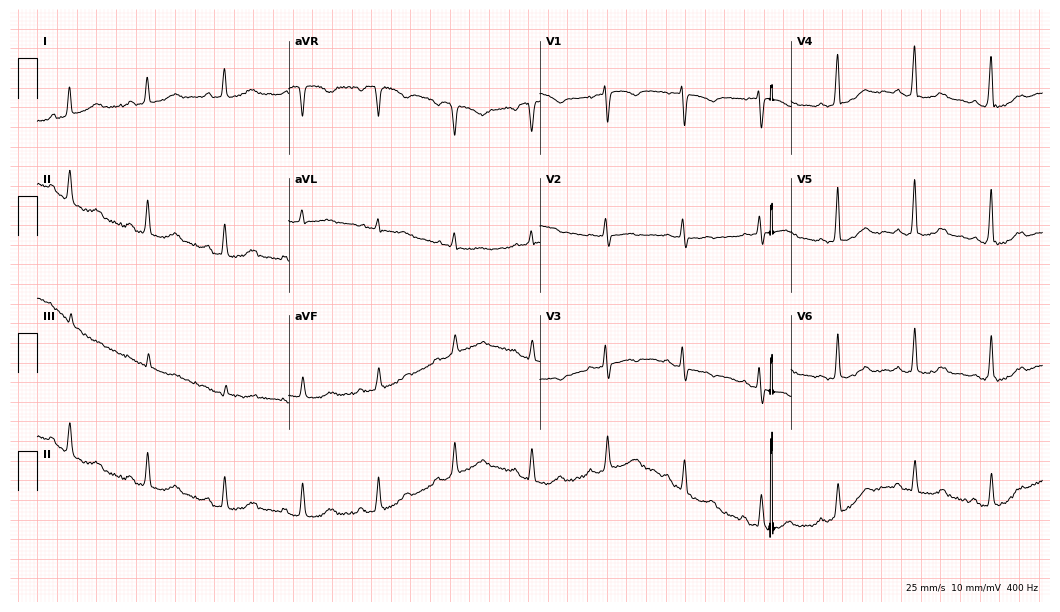
Standard 12-lead ECG recorded from a 72-year-old female patient. None of these six findings is recorded: first-degree AV block, right bundle branch block, left bundle branch block, sinus bradycardia, atrial fibrillation, sinus tachycardia.